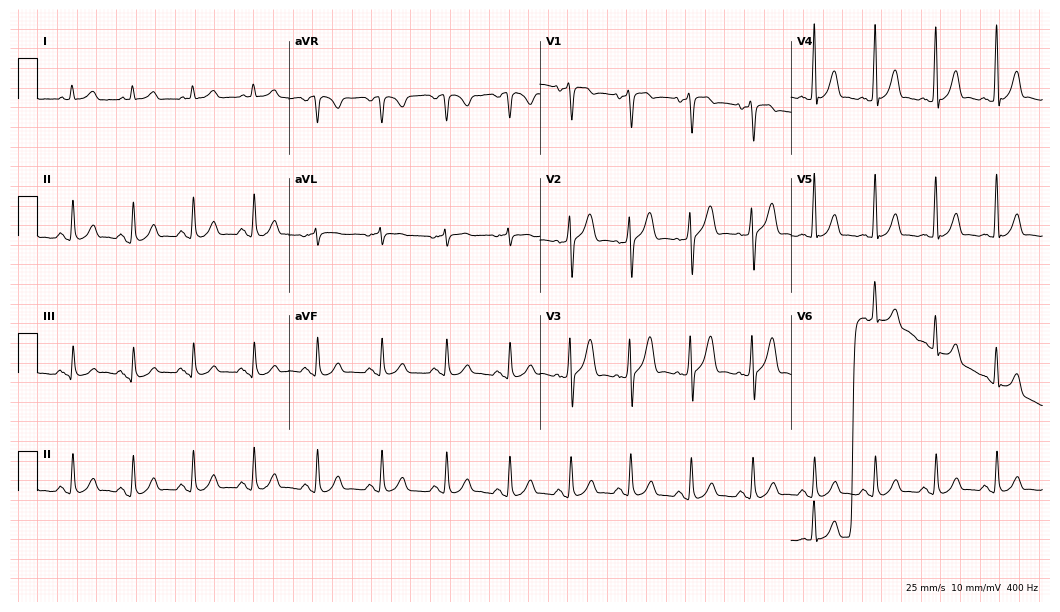
ECG (10.2-second recording at 400 Hz) — a male patient, 44 years old. Screened for six findings — first-degree AV block, right bundle branch block (RBBB), left bundle branch block (LBBB), sinus bradycardia, atrial fibrillation (AF), sinus tachycardia — none is recorded.